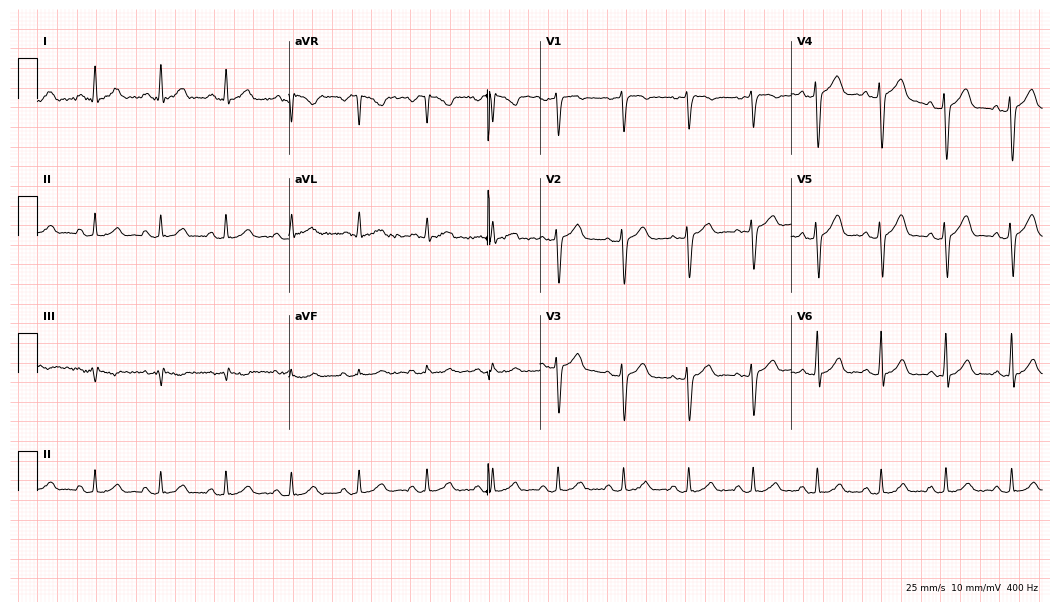
Resting 12-lead electrocardiogram (10.2-second recording at 400 Hz). Patient: a 35-year-old man. Read as a normal ECG.